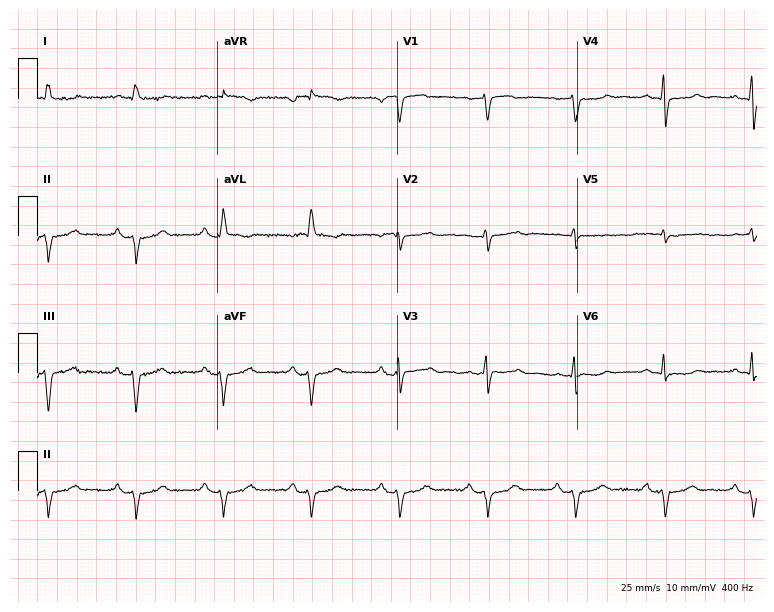
12-lead ECG from an 84-year-old woman. No first-degree AV block, right bundle branch block, left bundle branch block, sinus bradycardia, atrial fibrillation or sinus tachycardia recorded for this tracing.